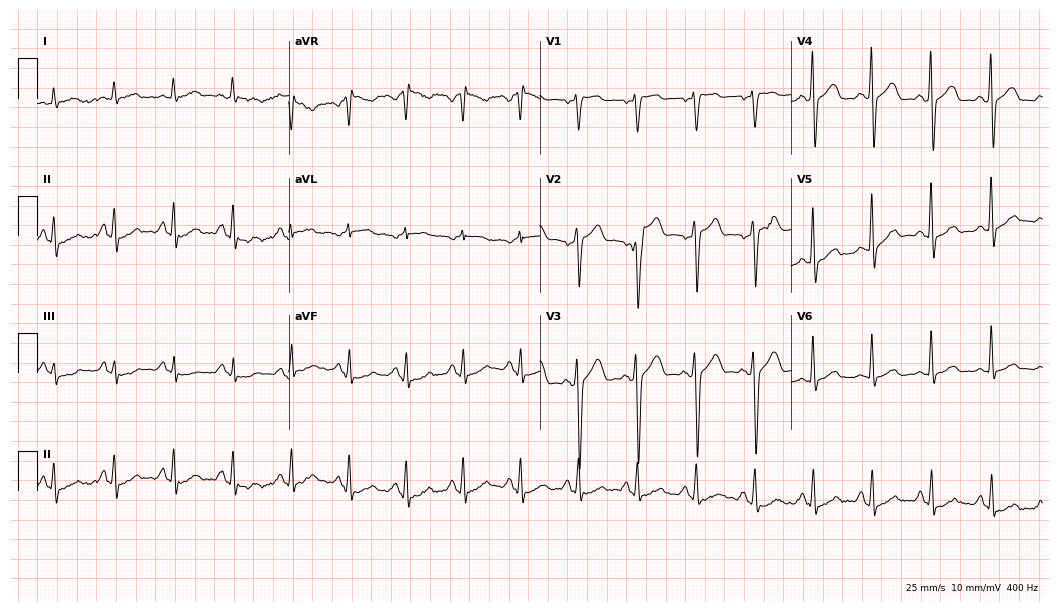
Standard 12-lead ECG recorded from a man, 42 years old (10.2-second recording at 400 Hz). None of these six findings is recorded: first-degree AV block, right bundle branch block (RBBB), left bundle branch block (LBBB), sinus bradycardia, atrial fibrillation (AF), sinus tachycardia. Other findings, if any, are not listed.